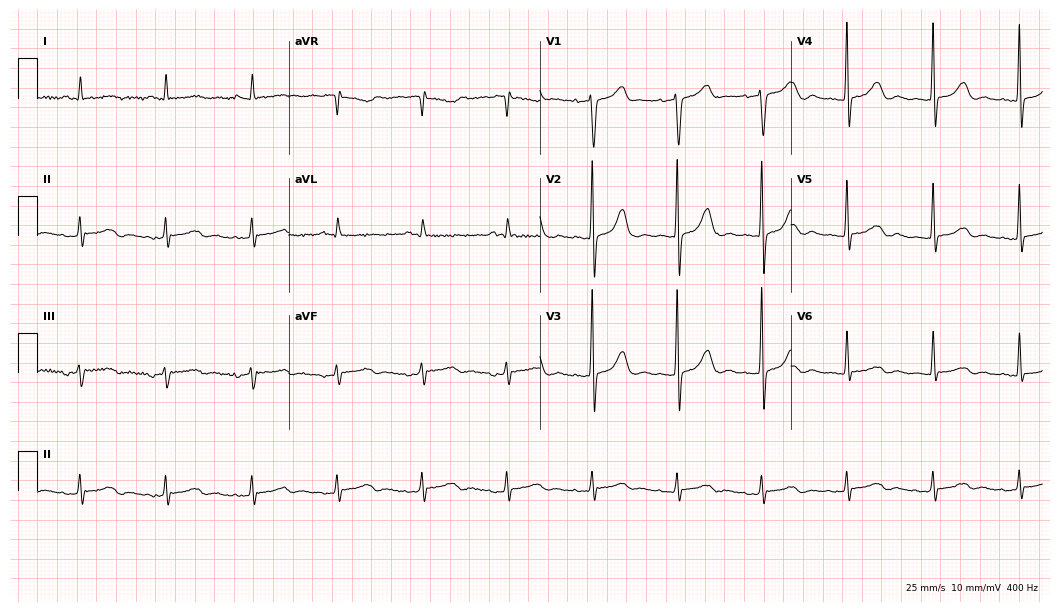
ECG — an 84-year-old male. Labelled as a normal ECG.